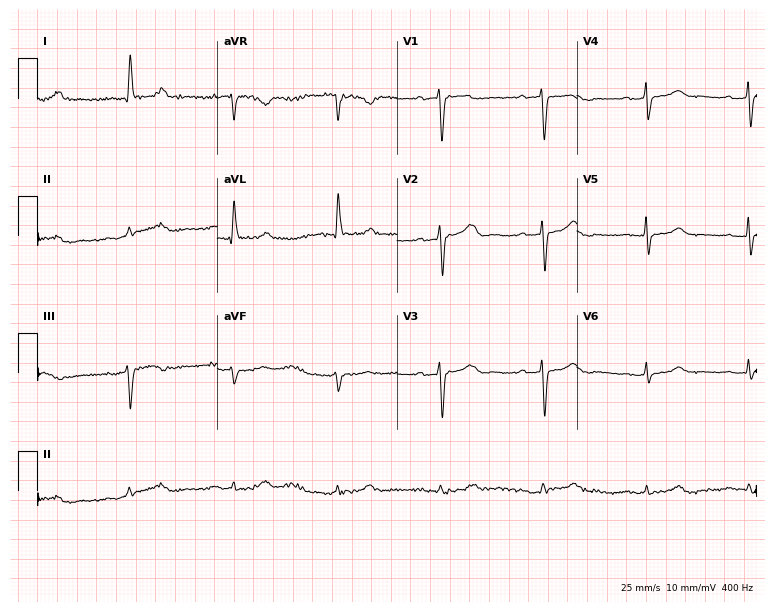
12-lead ECG from a female, 84 years old. Findings include first-degree AV block.